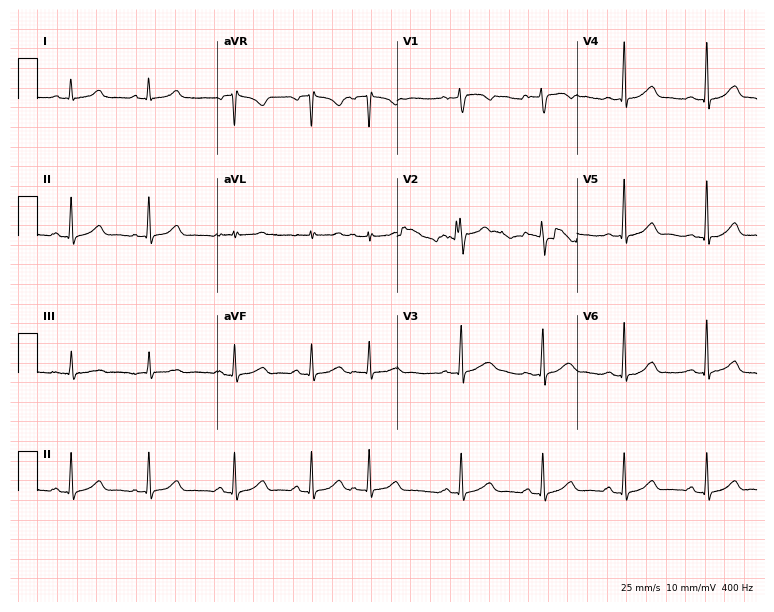
Standard 12-lead ECG recorded from a 35-year-old female patient (7.3-second recording at 400 Hz). Read as a normal ECG.